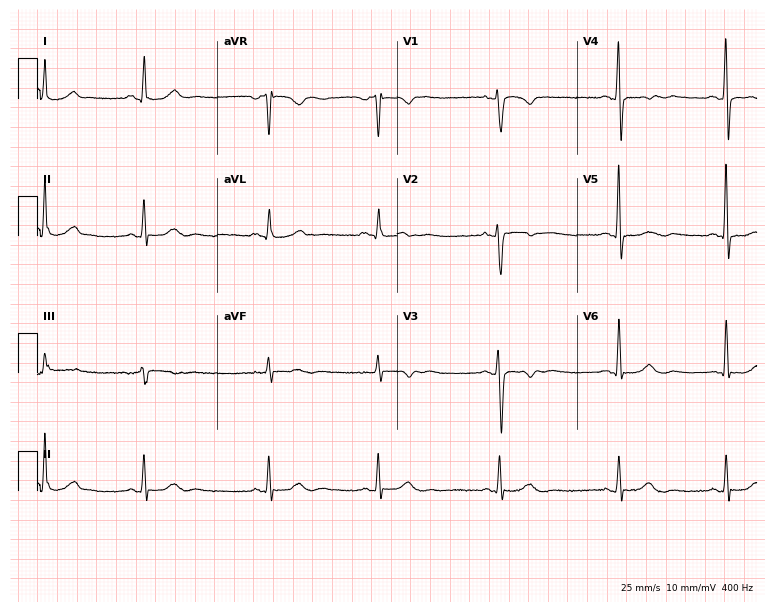
12-lead ECG from a 60-year-old female (7.3-second recording at 400 Hz). No first-degree AV block, right bundle branch block, left bundle branch block, sinus bradycardia, atrial fibrillation or sinus tachycardia recorded for this tracing.